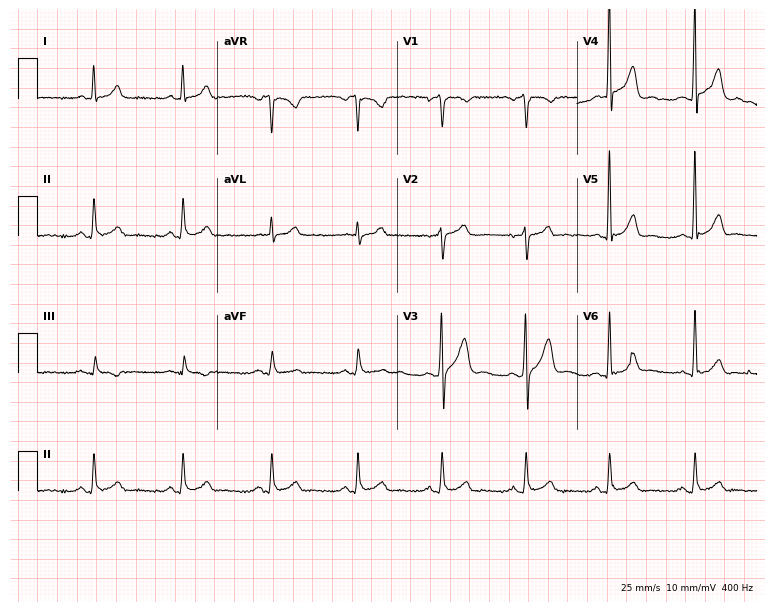
Resting 12-lead electrocardiogram. Patient: a 46-year-old female. Read as a normal ECG.